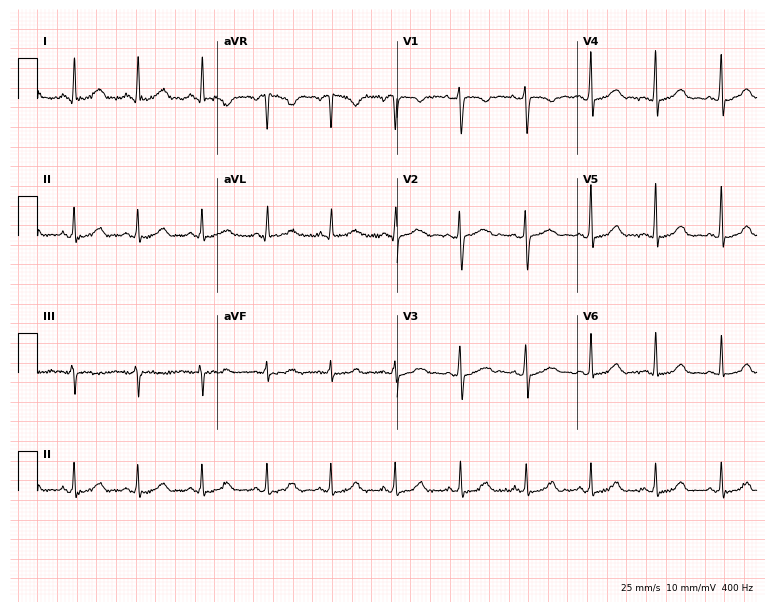
12-lead ECG from a female patient, 22 years old (7.3-second recording at 400 Hz). Recorded interpretation: within normal limits.